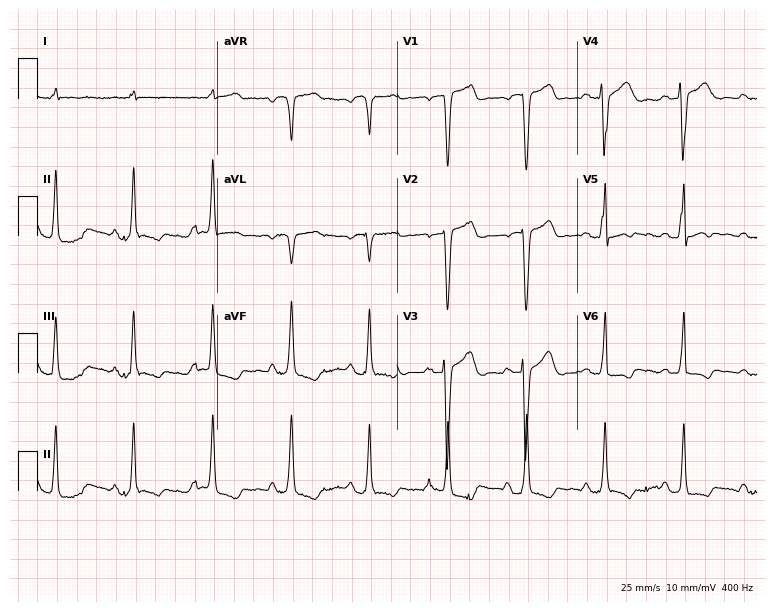
Standard 12-lead ECG recorded from a 67-year-old man (7.3-second recording at 400 Hz). None of these six findings is recorded: first-degree AV block, right bundle branch block, left bundle branch block, sinus bradycardia, atrial fibrillation, sinus tachycardia. Only these six findings were labelled.